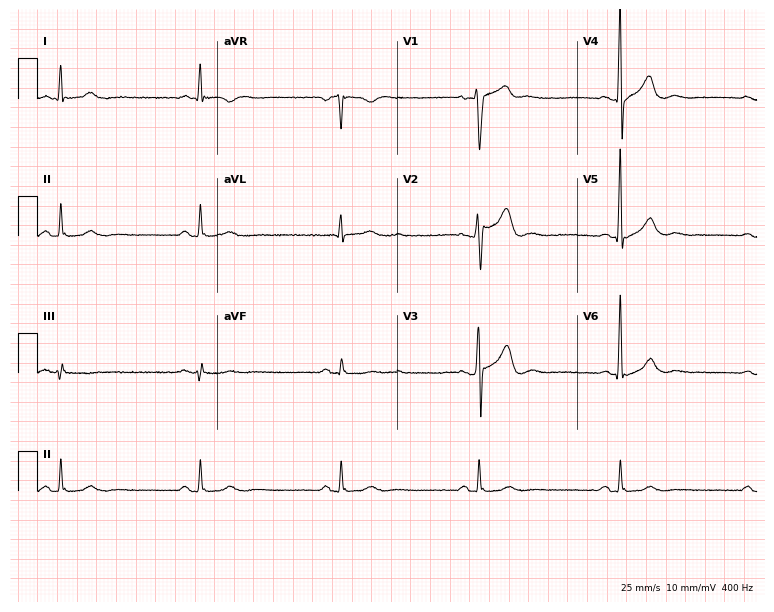
Electrocardiogram (7.3-second recording at 400 Hz), a 64-year-old man. Interpretation includes sinus bradycardia (a sinus rate of 50 beats per minute or less).